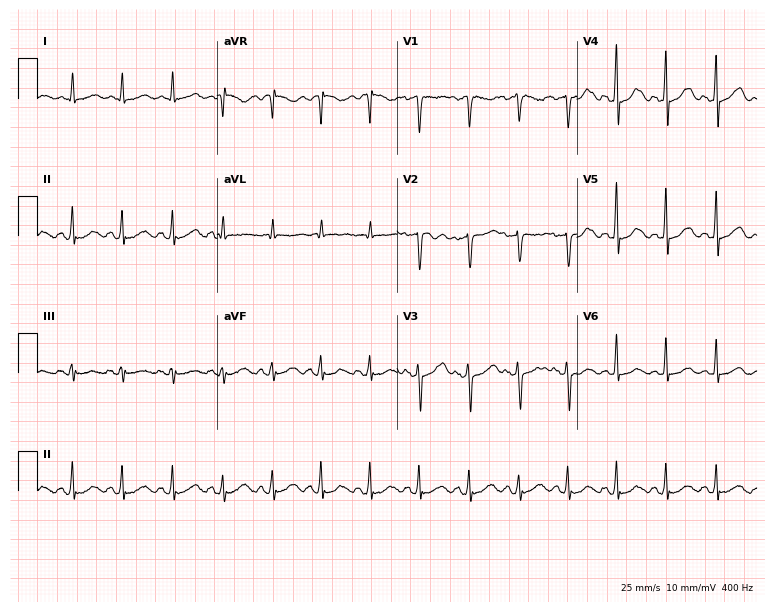
Standard 12-lead ECG recorded from a woman, 58 years old (7.3-second recording at 400 Hz). None of these six findings is recorded: first-degree AV block, right bundle branch block, left bundle branch block, sinus bradycardia, atrial fibrillation, sinus tachycardia. Only these six findings were labelled.